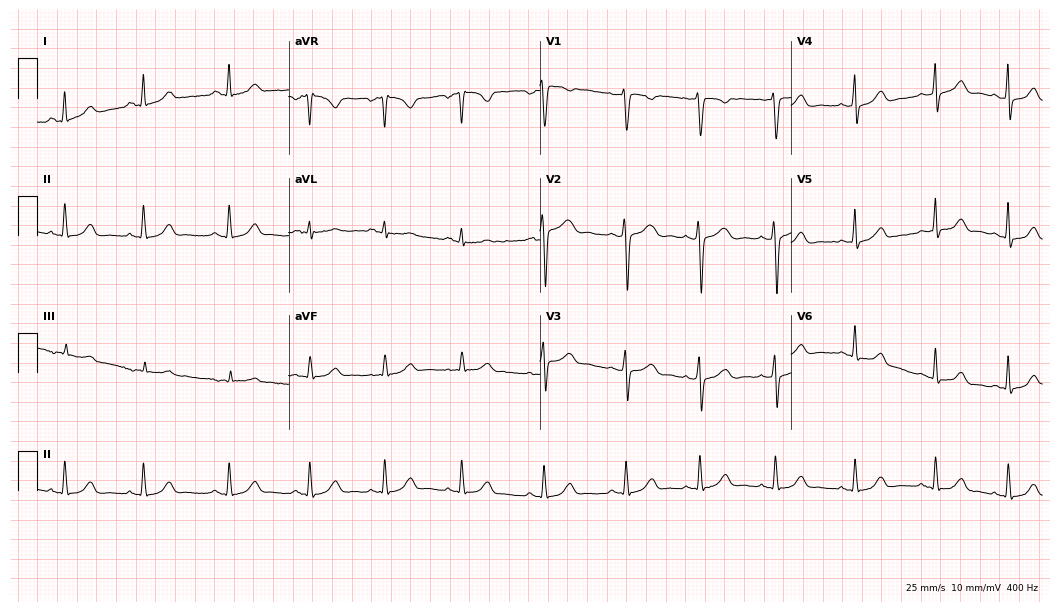
Standard 12-lead ECG recorded from a 30-year-old woman (10.2-second recording at 400 Hz). Read as a normal ECG.